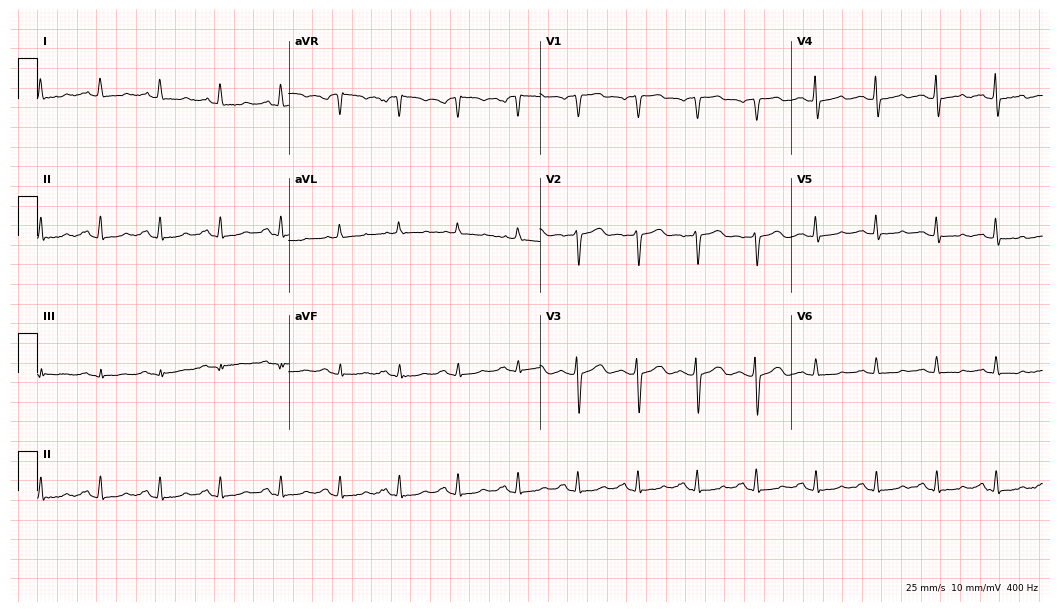
ECG — a 50-year-old female patient. Labelled as a normal ECG.